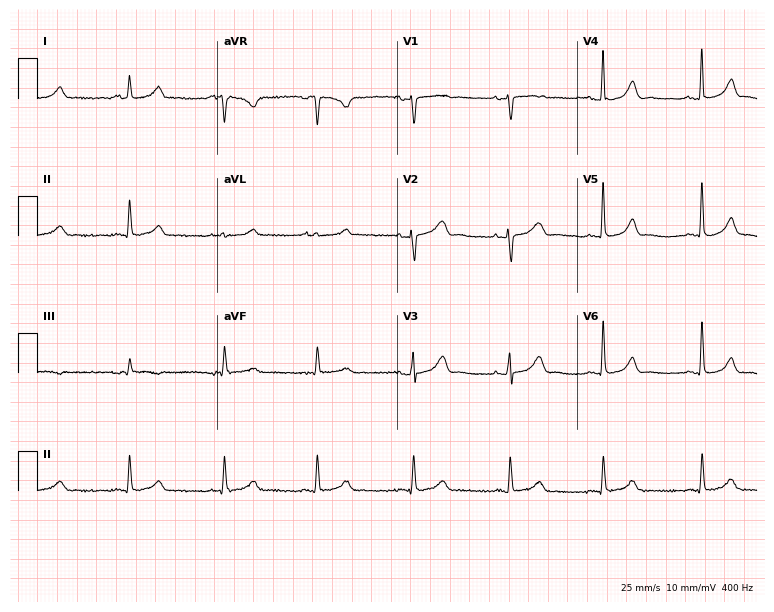
Standard 12-lead ECG recorded from a female patient, 46 years old (7.3-second recording at 400 Hz). Read as a normal ECG.